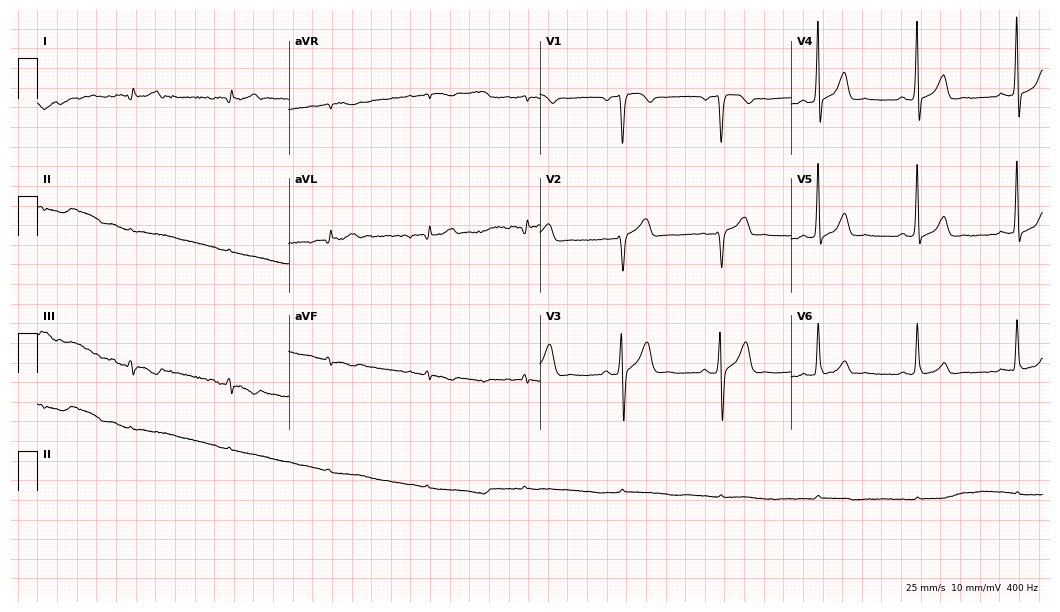
12-lead ECG from a 52-year-old male (10.2-second recording at 400 Hz). No first-degree AV block, right bundle branch block, left bundle branch block, sinus bradycardia, atrial fibrillation or sinus tachycardia recorded for this tracing.